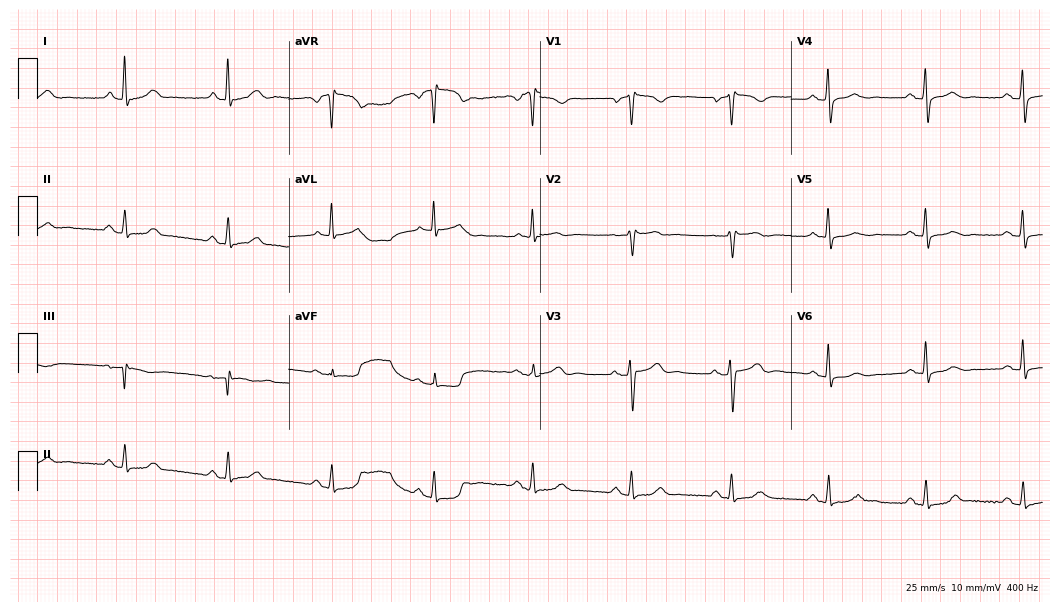
12-lead ECG from a female patient, 65 years old. Screened for six findings — first-degree AV block, right bundle branch block, left bundle branch block, sinus bradycardia, atrial fibrillation, sinus tachycardia — none is recorded. Only these six findings were labelled.